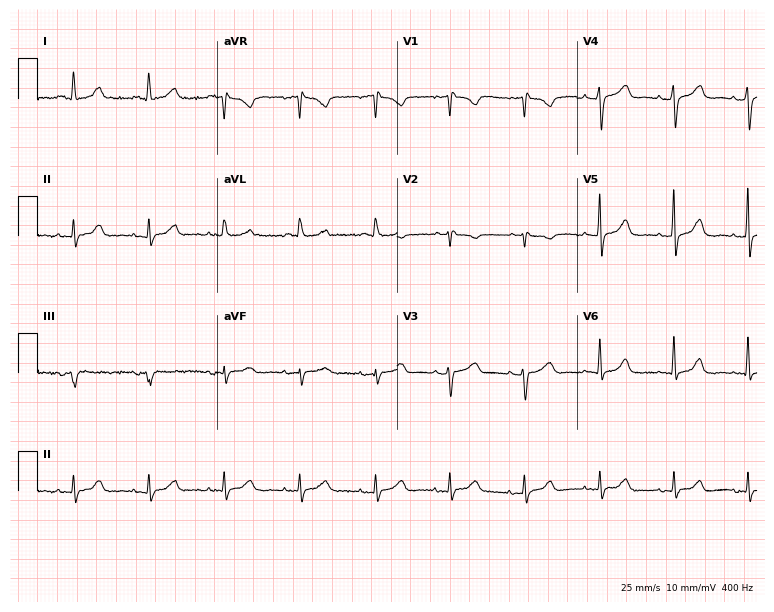
ECG — a female patient, 72 years old. Screened for six findings — first-degree AV block, right bundle branch block (RBBB), left bundle branch block (LBBB), sinus bradycardia, atrial fibrillation (AF), sinus tachycardia — none is recorded. Only these six findings were labelled.